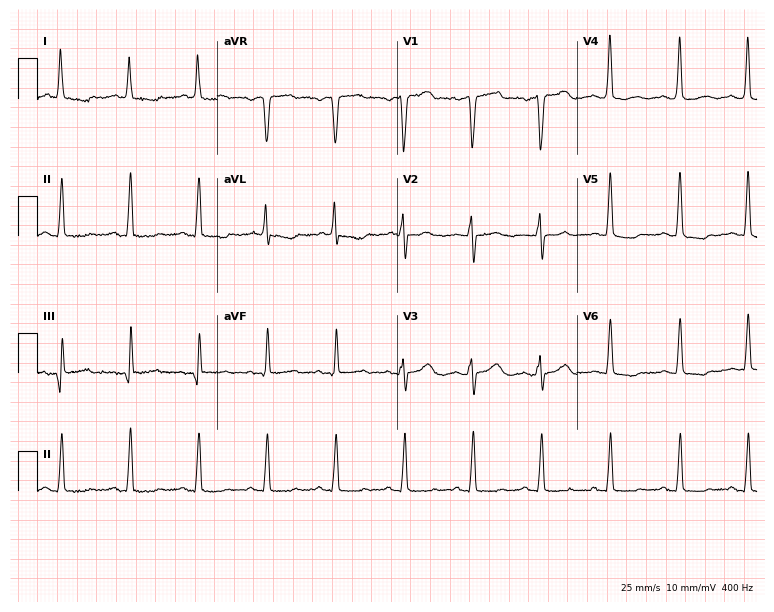
ECG — a 69-year-old female patient. Screened for six findings — first-degree AV block, right bundle branch block, left bundle branch block, sinus bradycardia, atrial fibrillation, sinus tachycardia — none is recorded.